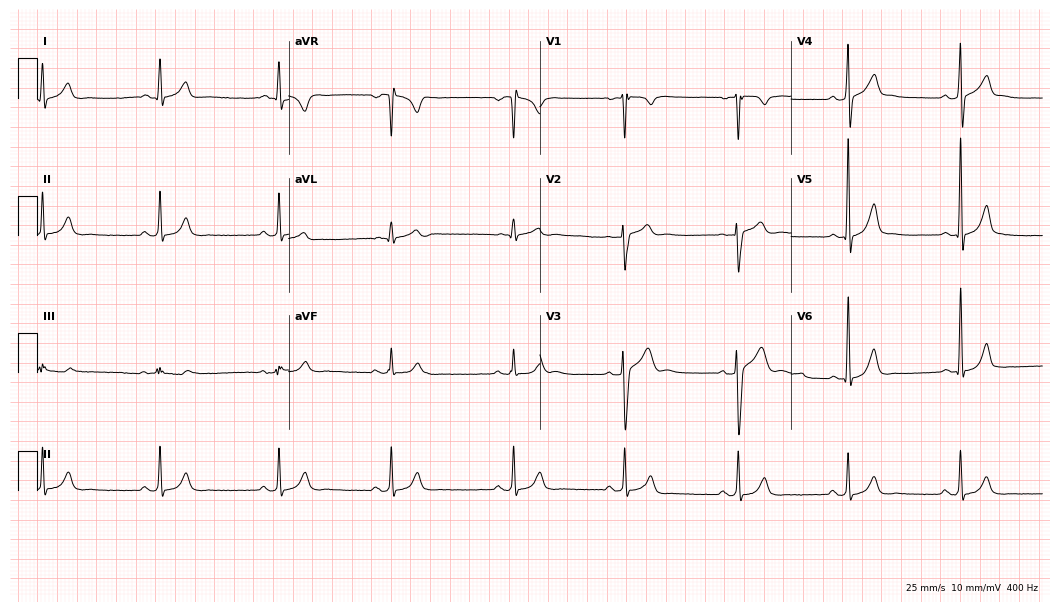
Standard 12-lead ECG recorded from a 34-year-old man. Read as a normal ECG.